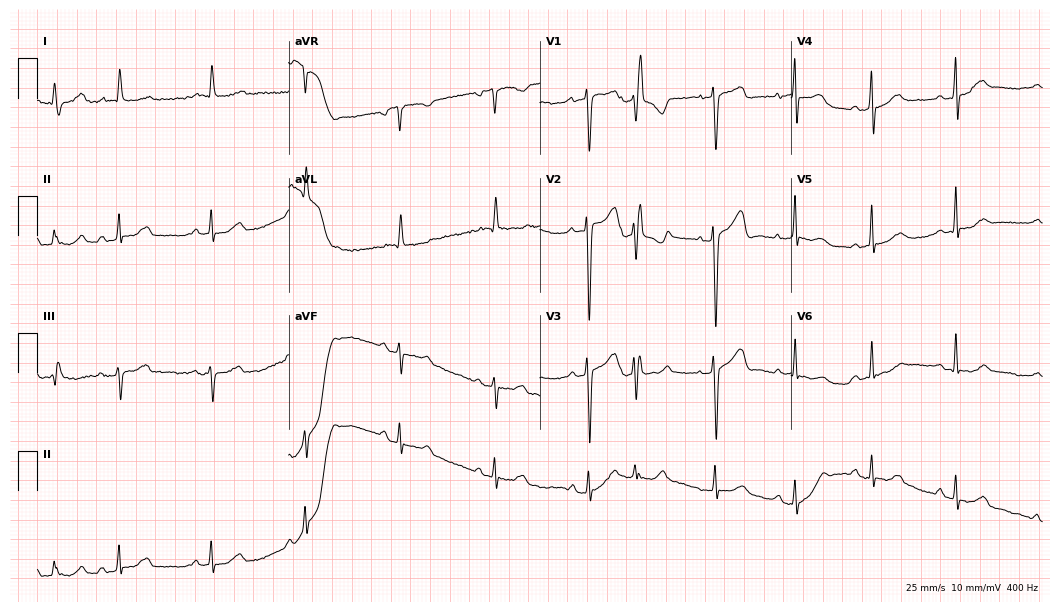
ECG (10.2-second recording at 400 Hz) — a woman, 81 years old. Screened for six findings — first-degree AV block, right bundle branch block (RBBB), left bundle branch block (LBBB), sinus bradycardia, atrial fibrillation (AF), sinus tachycardia — none is recorded.